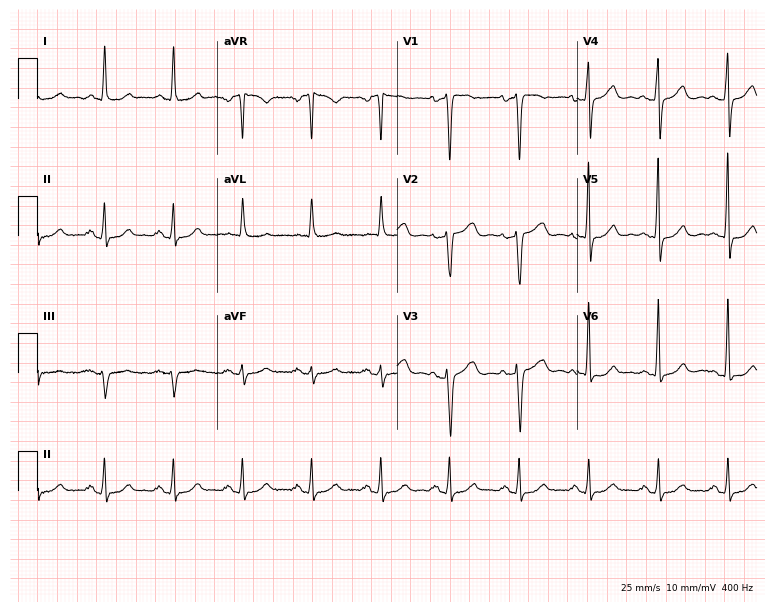
12-lead ECG from a female, 48 years old. Recorded interpretation: within normal limits.